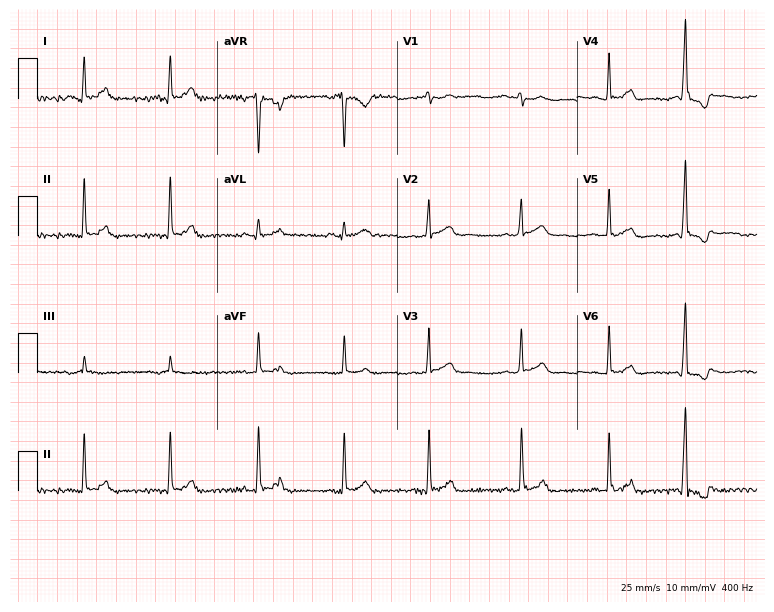
Electrocardiogram (7.3-second recording at 400 Hz), a male, 18 years old. Of the six screened findings (first-degree AV block, right bundle branch block (RBBB), left bundle branch block (LBBB), sinus bradycardia, atrial fibrillation (AF), sinus tachycardia), none is recorded.